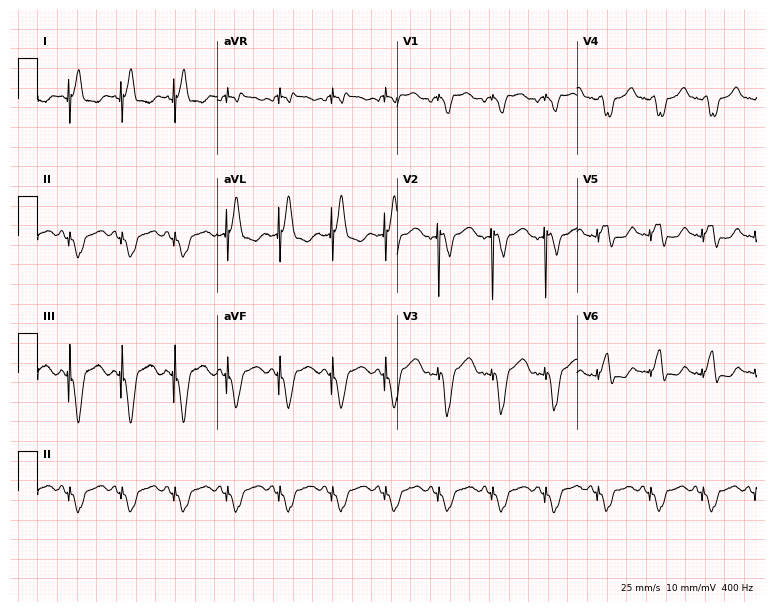
Electrocardiogram (7.3-second recording at 400 Hz), a woman, 61 years old. Of the six screened findings (first-degree AV block, right bundle branch block (RBBB), left bundle branch block (LBBB), sinus bradycardia, atrial fibrillation (AF), sinus tachycardia), none is recorded. Findings outside these six are not listed.